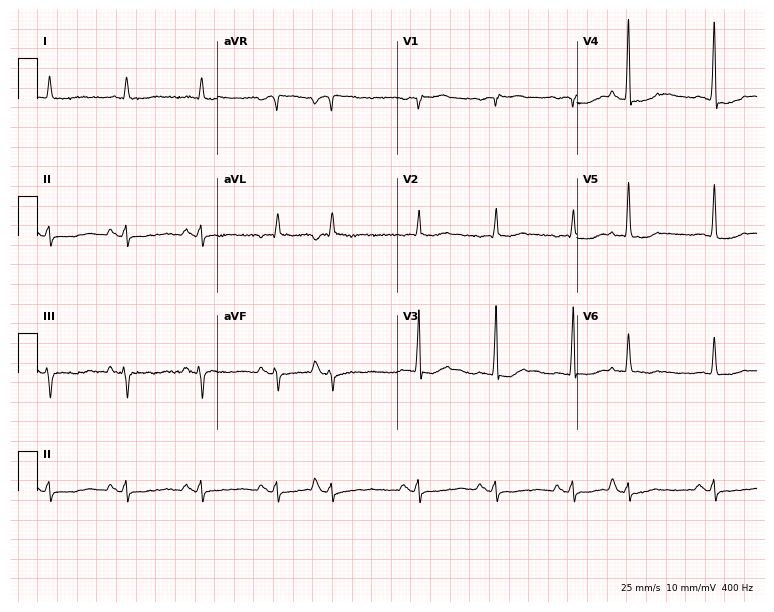
ECG — a 77-year-old male. Screened for six findings — first-degree AV block, right bundle branch block, left bundle branch block, sinus bradycardia, atrial fibrillation, sinus tachycardia — none is recorded. Only these six findings were labelled.